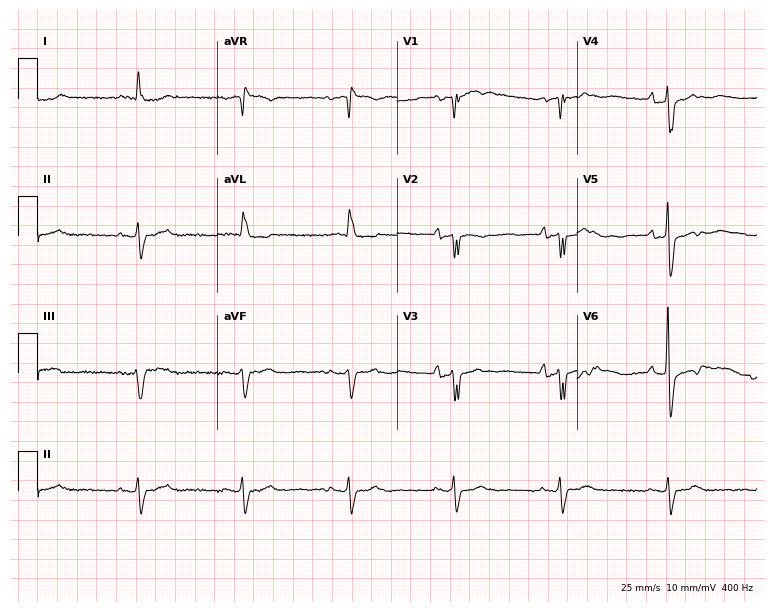
Resting 12-lead electrocardiogram (7.3-second recording at 400 Hz). Patient: a 67-year-old male. None of these six findings is recorded: first-degree AV block, right bundle branch block, left bundle branch block, sinus bradycardia, atrial fibrillation, sinus tachycardia. Other findings, if any, are not listed.